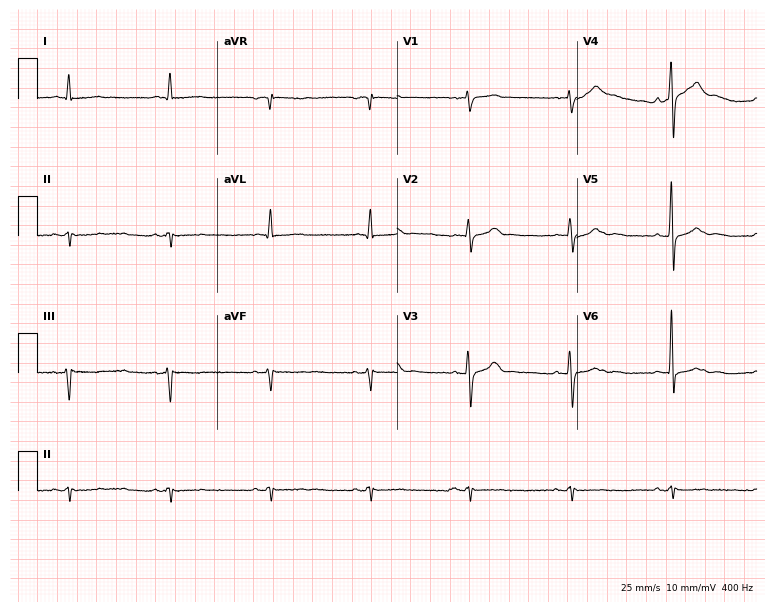
Standard 12-lead ECG recorded from a male, 87 years old (7.3-second recording at 400 Hz). None of these six findings is recorded: first-degree AV block, right bundle branch block, left bundle branch block, sinus bradycardia, atrial fibrillation, sinus tachycardia.